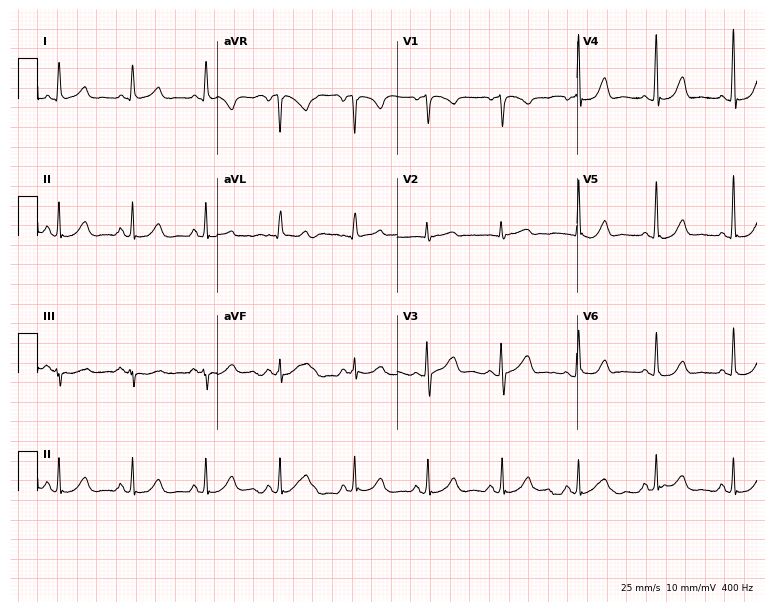
12-lead ECG from a 66-year-old female. Recorded interpretation: within normal limits.